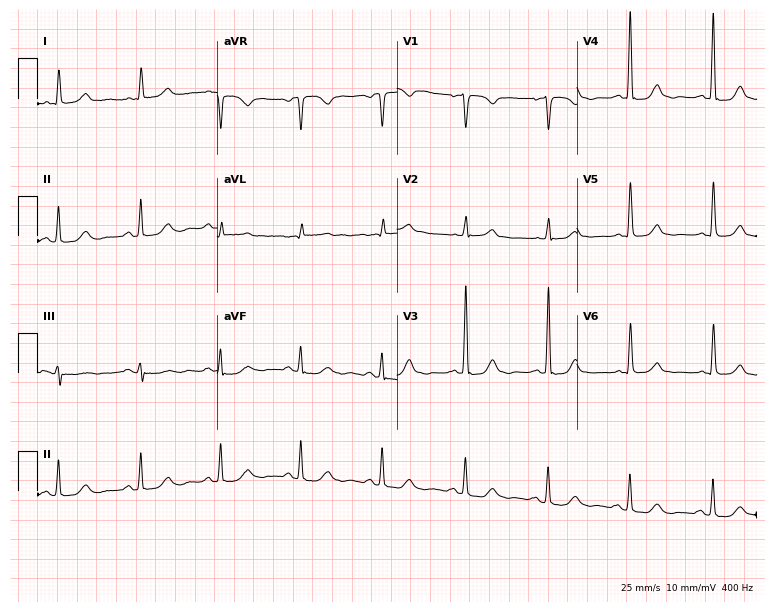
Electrocardiogram, a female patient, 71 years old. Of the six screened findings (first-degree AV block, right bundle branch block (RBBB), left bundle branch block (LBBB), sinus bradycardia, atrial fibrillation (AF), sinus tachycardia), none is recorded.